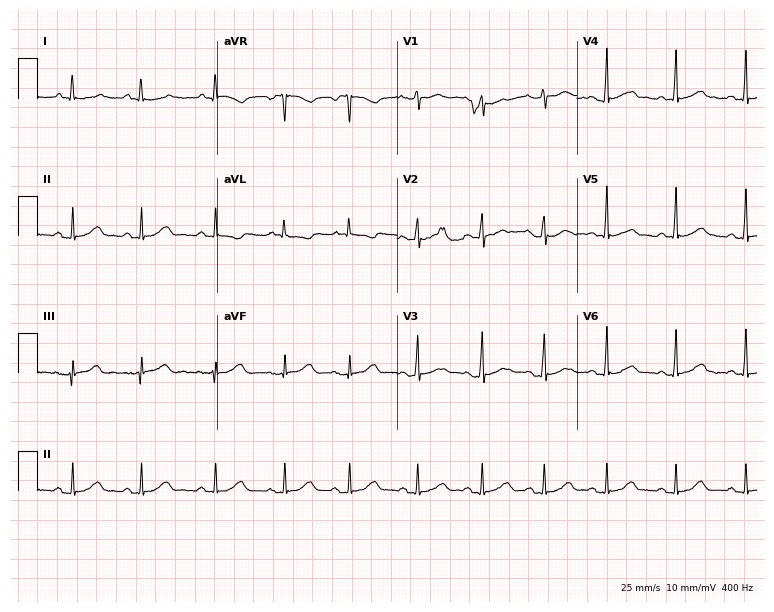
ECG (7.3-second recording at 400 Hz) — a female patient, 66 years old. Labelled as a normal ECG.